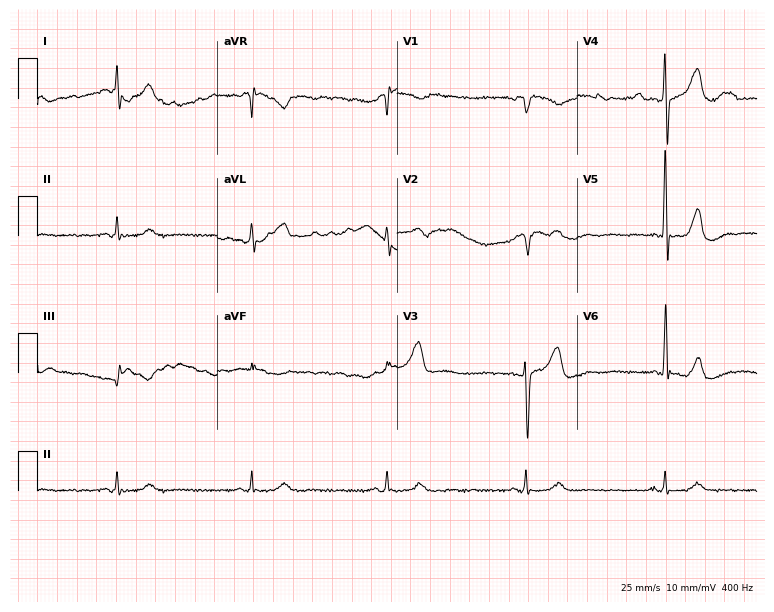
ECG — a 79-year-old male. Screened for six findings — first-degree AV block, right bundle branch block, left bundle branch block, sinus bradycardia, atrial fibrillation, sinus tachycardia — none is recorded.